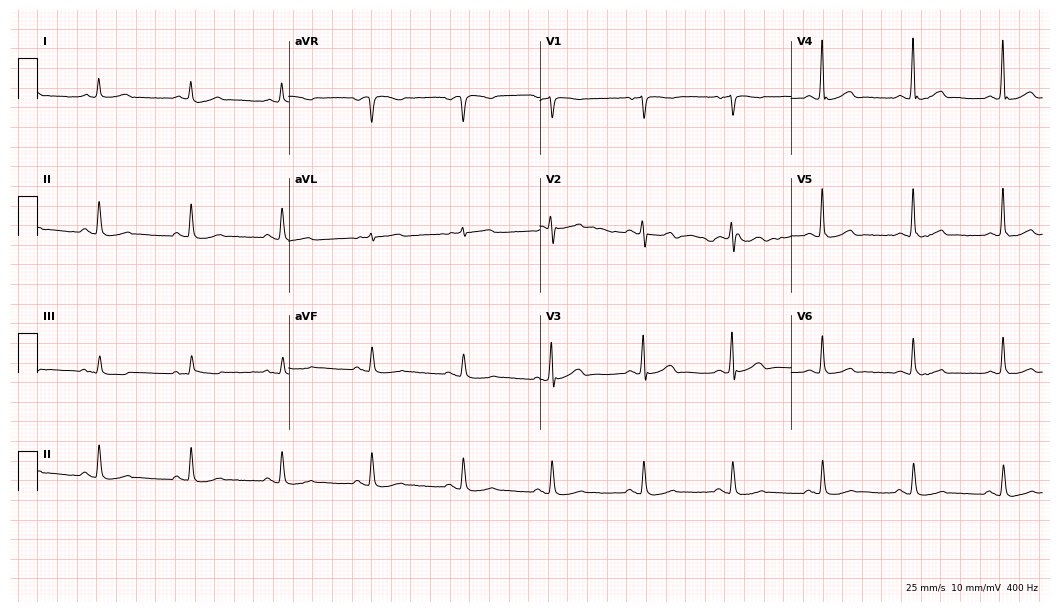
ECG — a male, 79 years old. Labelled as a normal ECG.